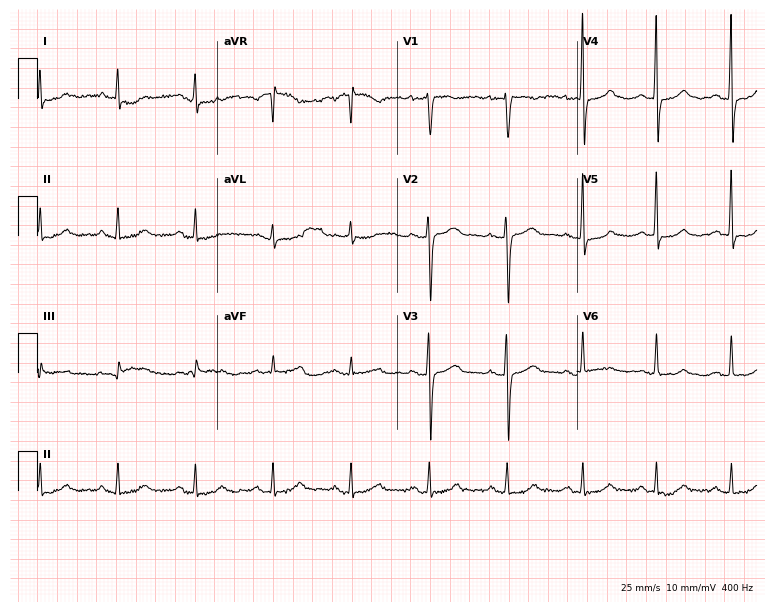
Standard 12-lead ECG recorded from a female patient, 67 years old. Read as a normal ECG.